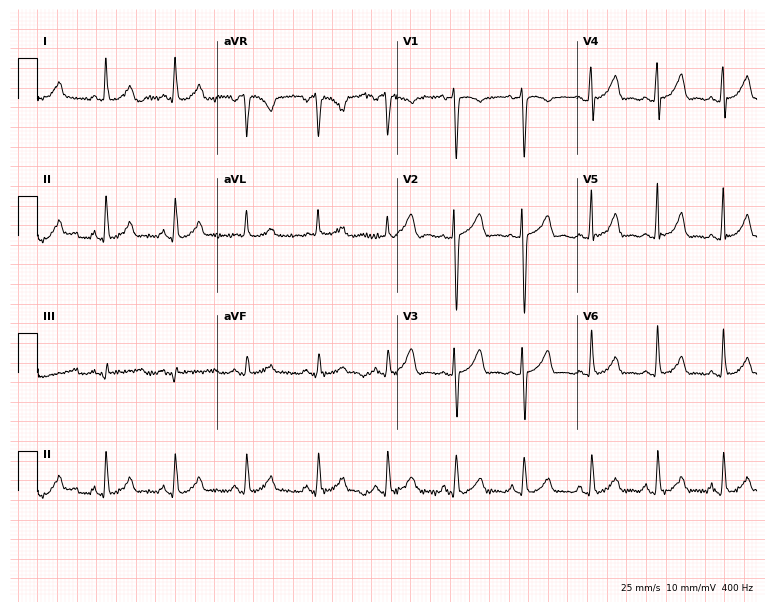
Resting 12-lead electrocardiogram (7.3-second recording at 400 Hz). Patient: a 45-year-old female. None of these six findings is recorded: first-degree AV block, right bundle branch block (RBBB), left bundle branch block (LBBB), sinus bradycardia, atrial fibrillation (AF), sinus tachycardia. Only these six findings were labelled.